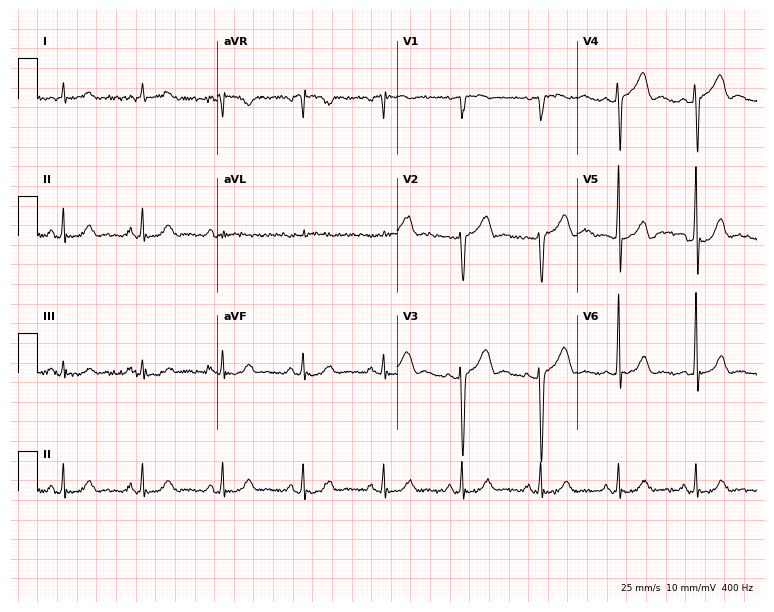
12-lead ECG from a 65-year-old female patient. Recorded interpretation: within normal limits.